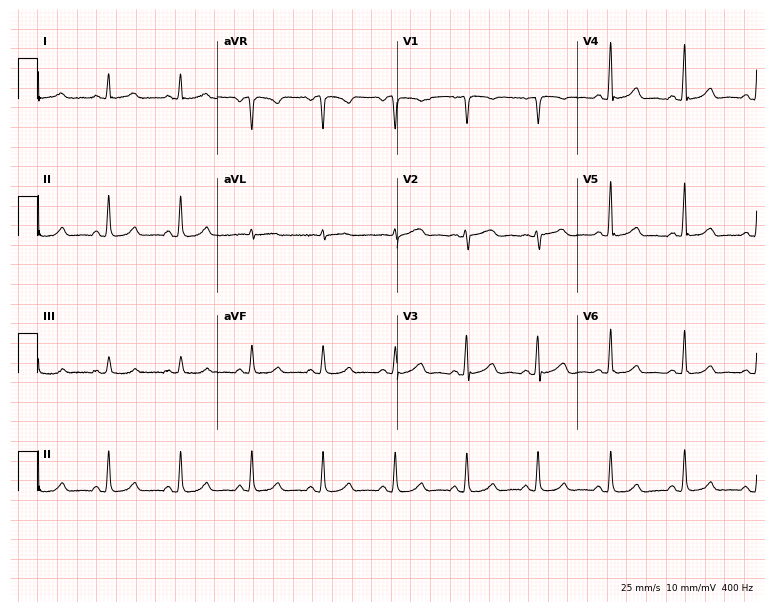
Resting 12-lead electrocardiogram (7.3-second recording at 400 Hz). Patient: a 55-year-old woman. Read as a normal ECG.